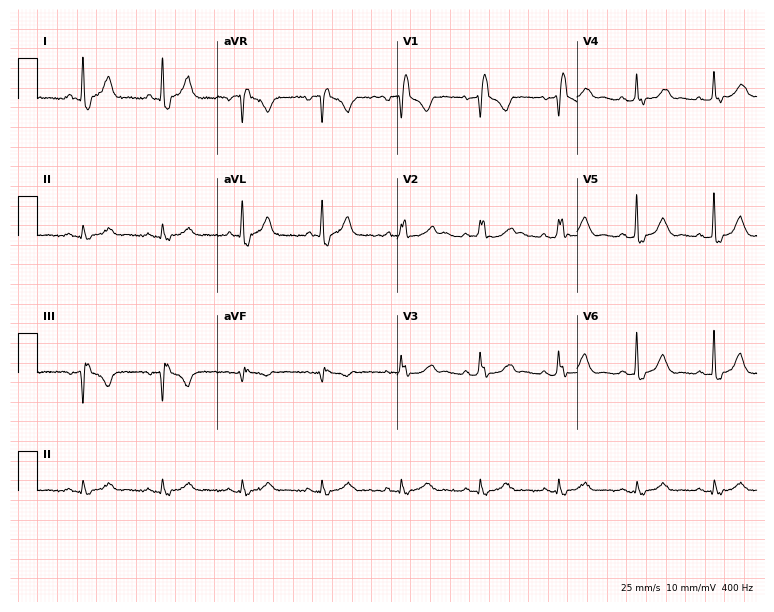
Resting 12-lead electrocardiogram (7.3-second recording at 400 Hz). Patient: a woman, 80 years old. The tracing shows right bundle branch block.